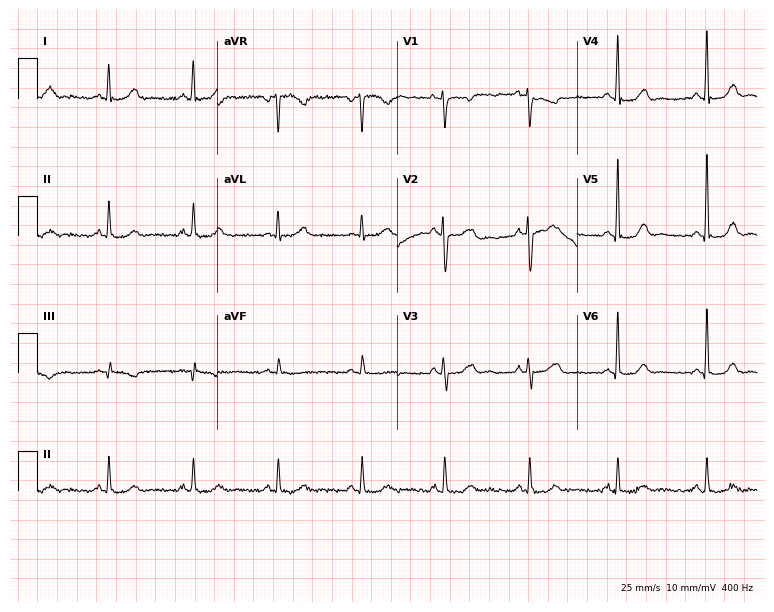
Electrocardiogram (7.3-second recording at 400 Hz), a 47-year-old woman. Of the six screened findings (first-degree AV block, right bundle branch block, left bundle branch block, sinus bradycardia, atrial fibrillation, sinus tachycardia), none is recorded.